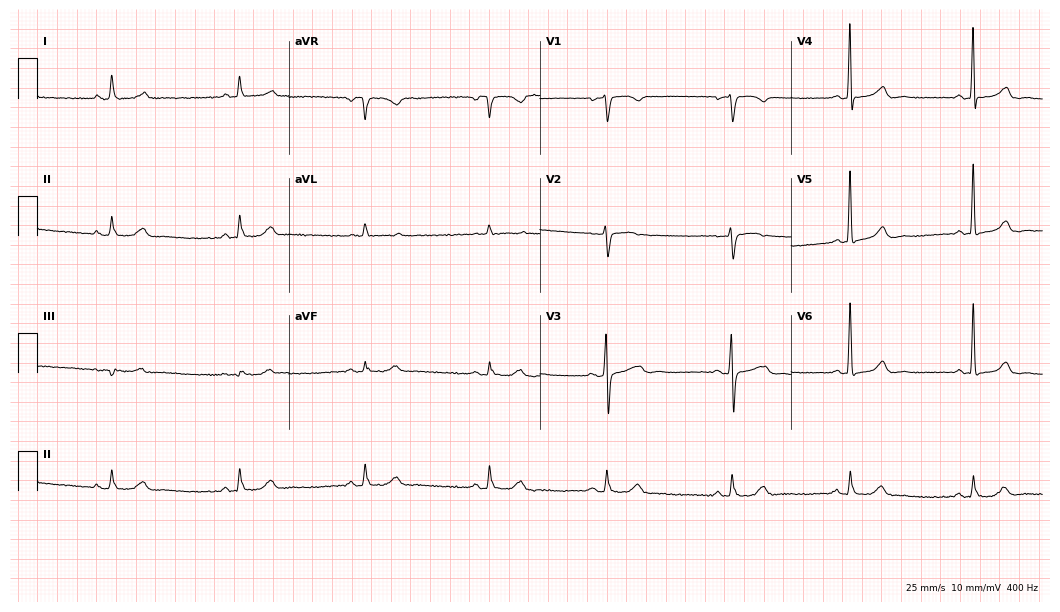
12-lead ECG (10.2-second recording at 400 Hz) from a woman, 67 years old. Findings include sinus bradycardia (a sinus rate of 50 beats per minute or less).